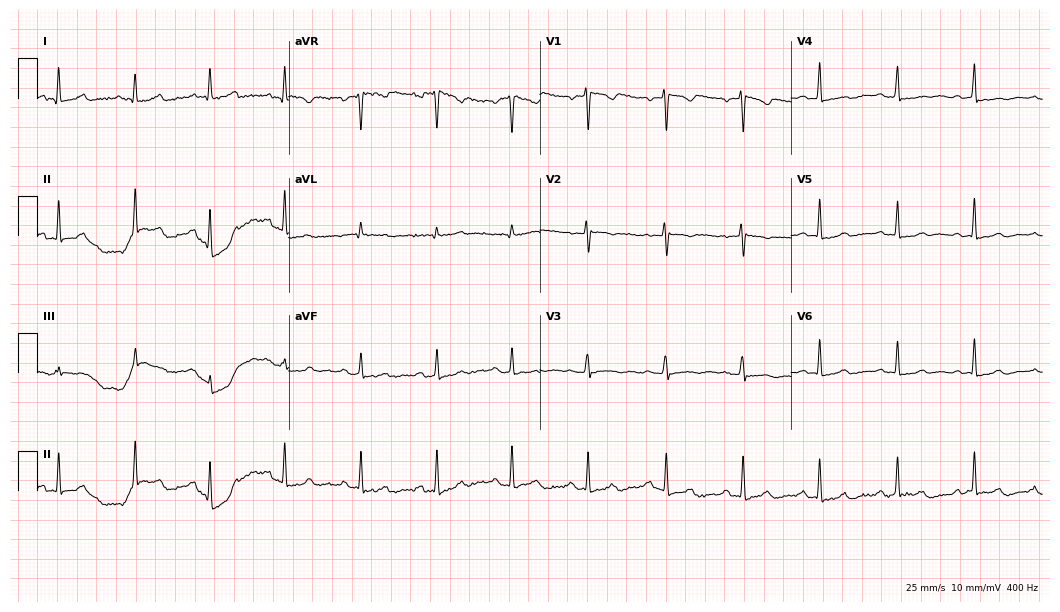
12-lead ECG from a 51-year-old female. Screened for six findings — first-degree AV block, right bundle branch block, left bundle branch block, sinus bradycardia, atrial fibrillation, sinus tachycardia — none is recorded. Findings outside these six are not listed.